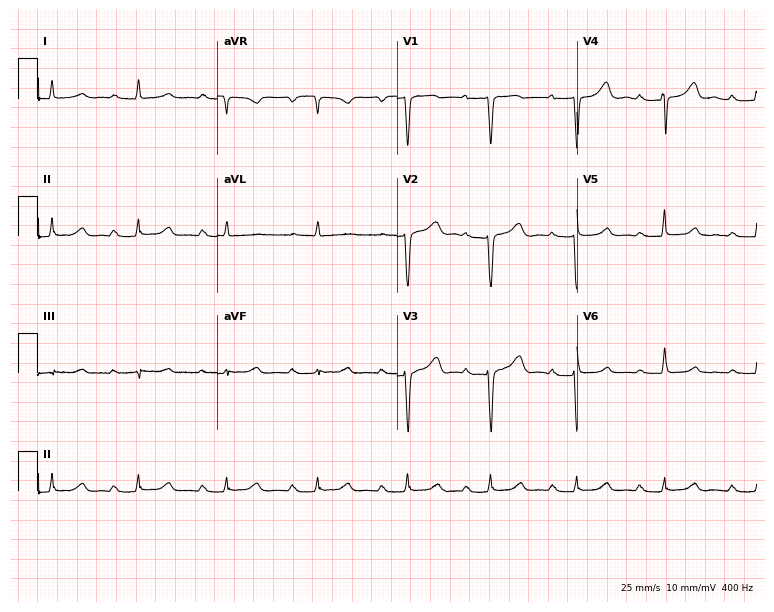
Standard 12-lead ECG recorded from a 49-year-old female. The tracing shows first-degree AV block.